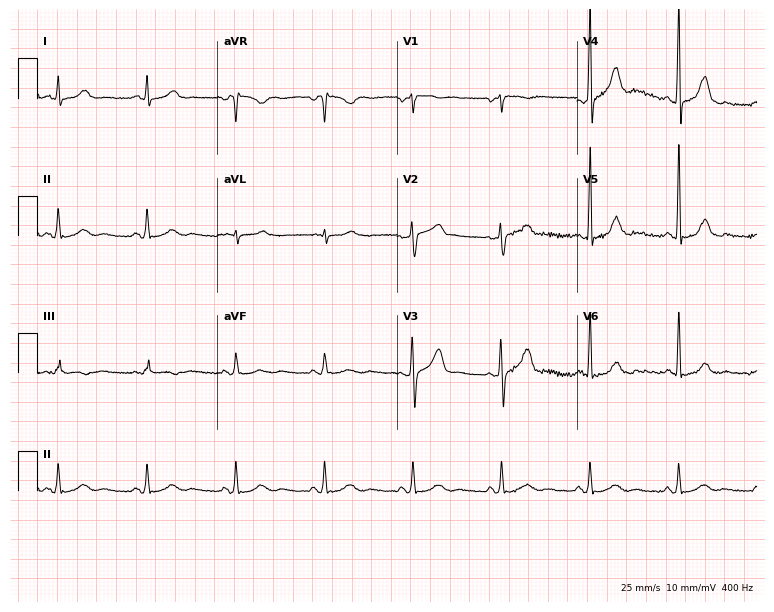
Resting 12-lead electrocardiogram. Patient: a male, 65 years old. None of these six findings is recorded: first-degree AV block, right bundle branch block, left bundle branch block, sinus bradycardia, atrial fibrillation, sinus tachycardia. Other findings, if any, are not listed.